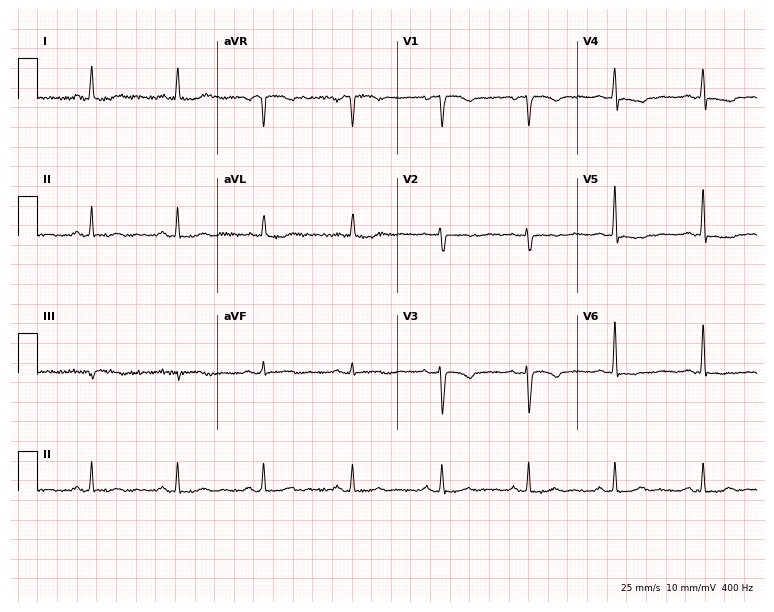
Electrocardiogram (7.3-second recording at 400 Hz), a female patient, 56 years old. Of the six screened findings (first-degree AV block, right bundle branch block (RBBB), left bundle branch block (LBBB), sinus bradycardia, atrial fibrillation (AF), sinus tachycardia), none is recorded. Only these six findings were labelled.